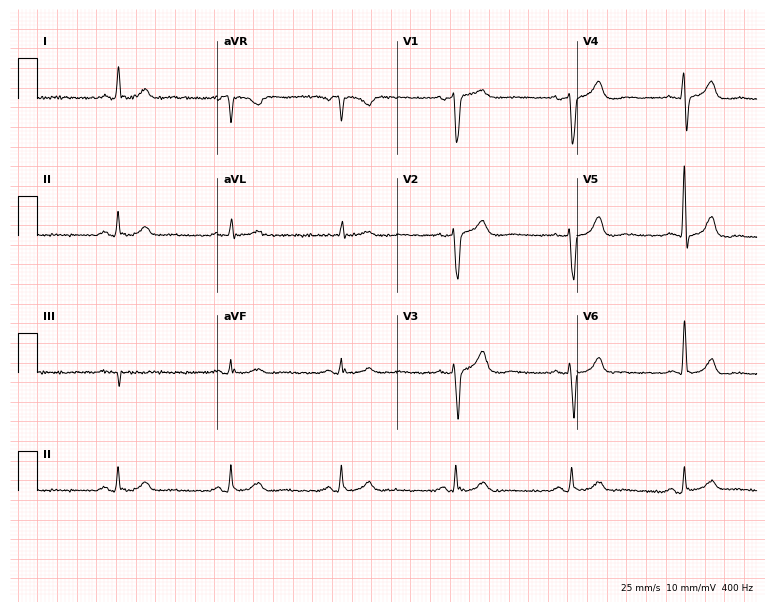
12-lead ECG from a man, 71 years old. Labelled as a normal ECG.